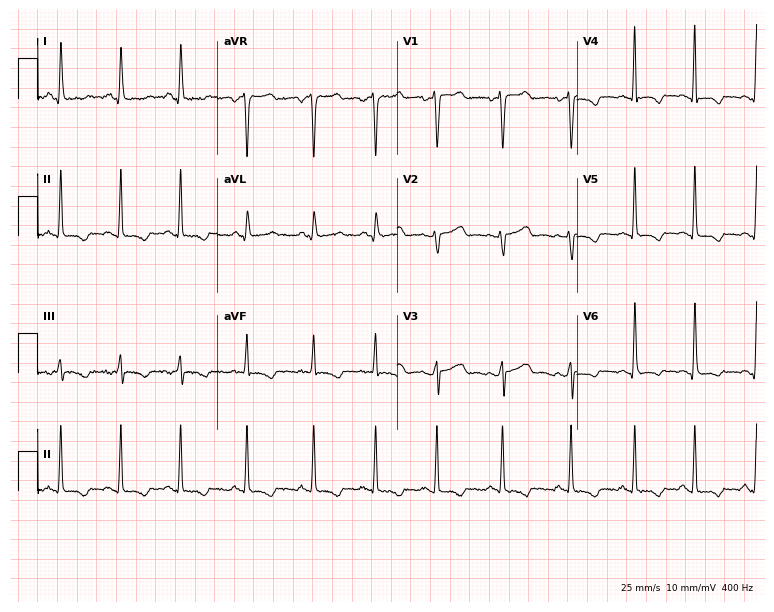
12-lead ECG from a 25-year-old woman. Recorded interpretation: within normal limits.